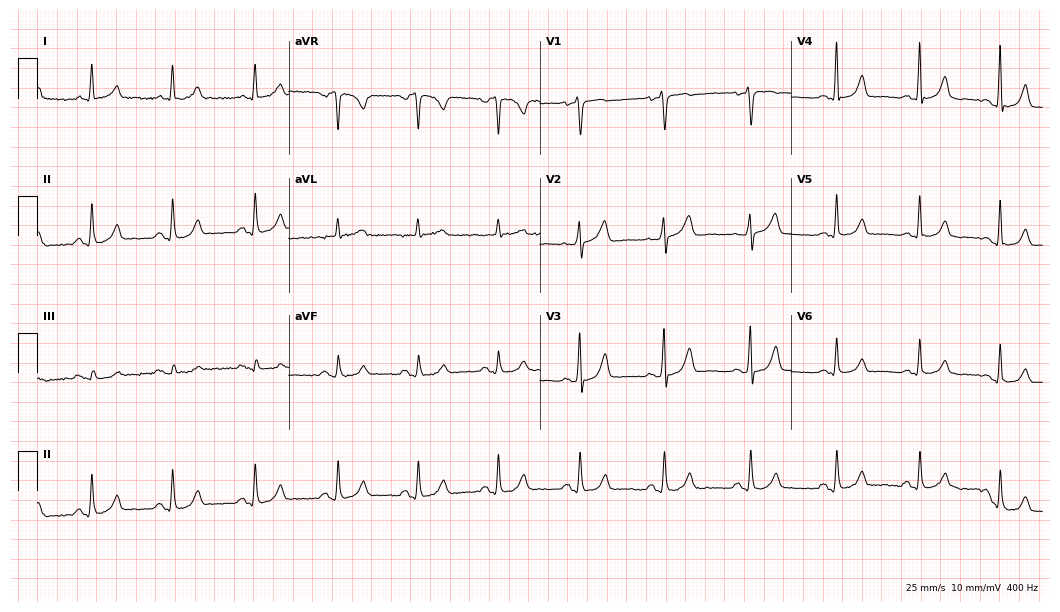
Resting 12-lead electrocardiogram. Patient: a woman, 51 years old. Read as a normal ECG.